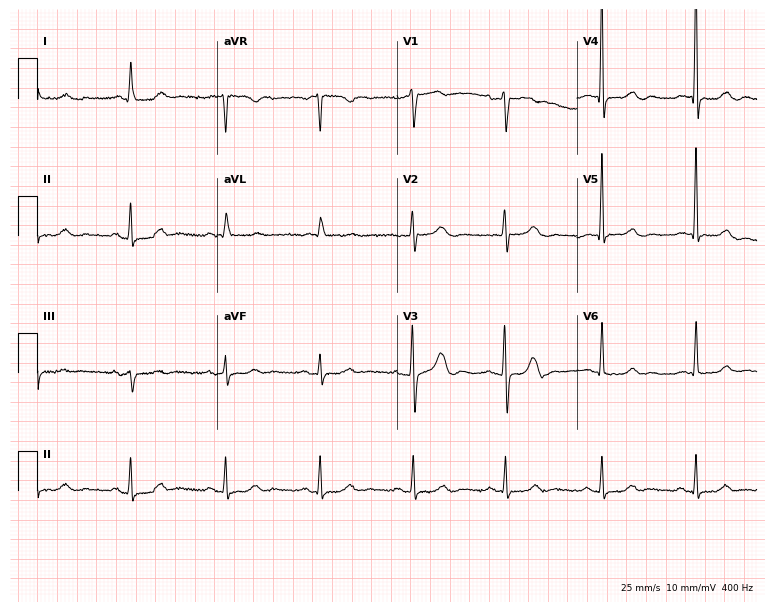
Electrocardiogram (7.3-second recording at 400 Hz), a female, 73 years old. Overall reading on record: normal ECG.